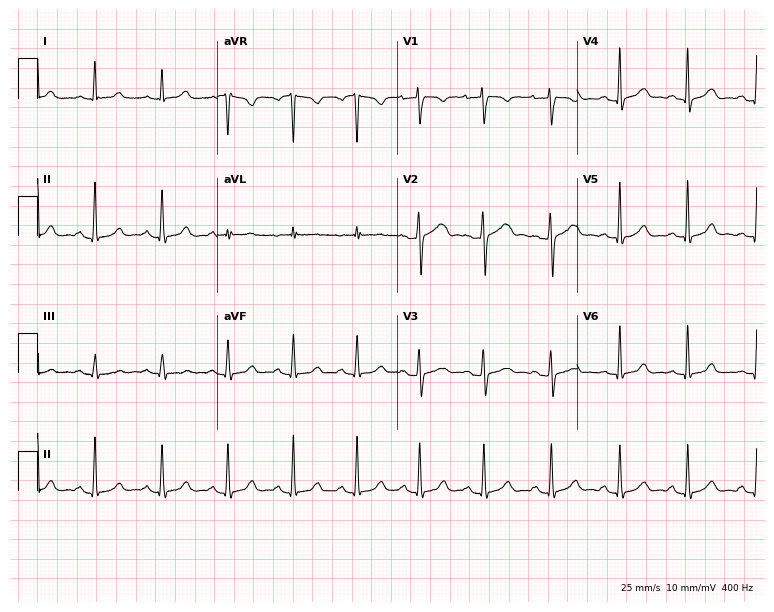
12-lead ECG from a woman, 35 years old. Labelled as a normal ECG.